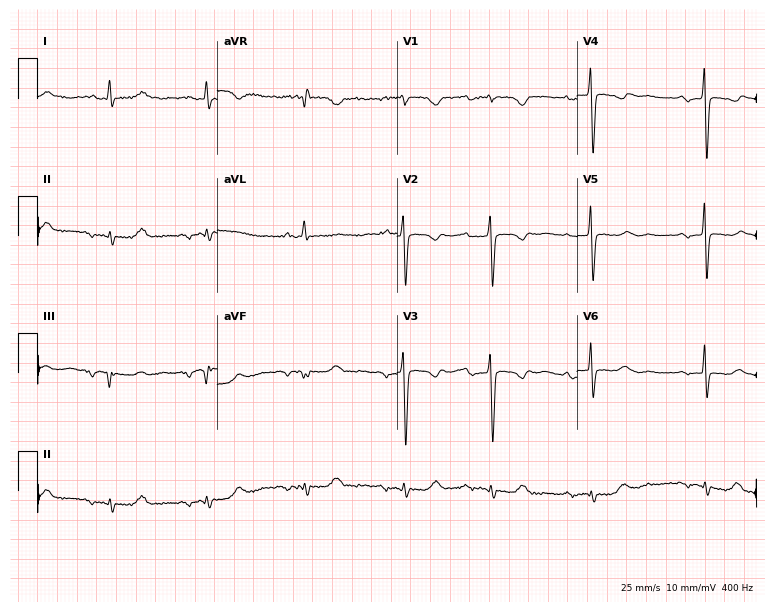
Electrocardiogram (7.3-second recording at 400 Hz), a woman, 75 years old. Interpretation includes first-degree AV block.